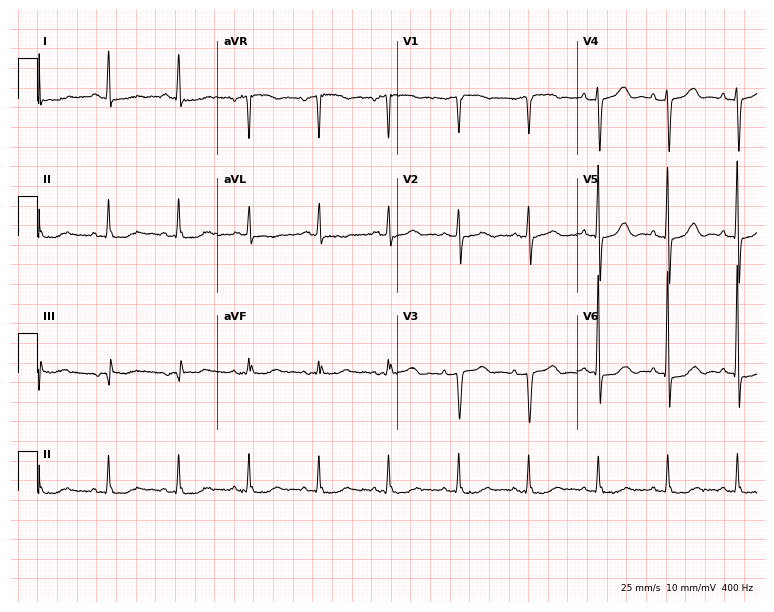
12-lead ECG (7.3-second recording at 400 Hz) from an 85-year-old female patient. Labelled as a normal ECG.